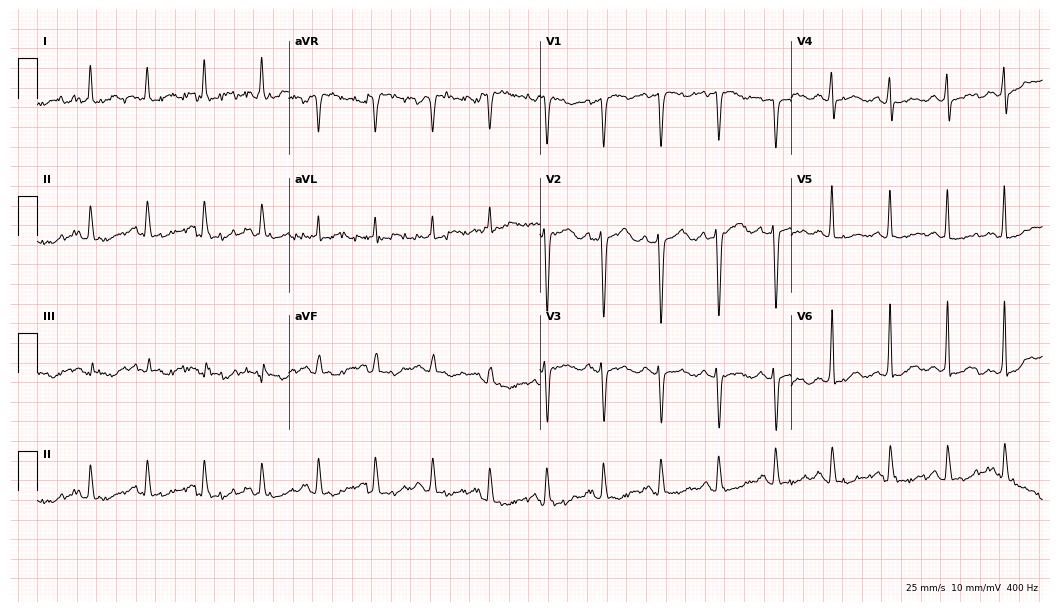
Standard 12-lead ECG recorded from a woman, 38 years old (10.2-second recording at 400 Hz). None of these six findings is recorded: first-degree AV block, right bundle branch block, left bundle branch block, sinus bradycardia, atrial fibrillation, sinus tachycardia.